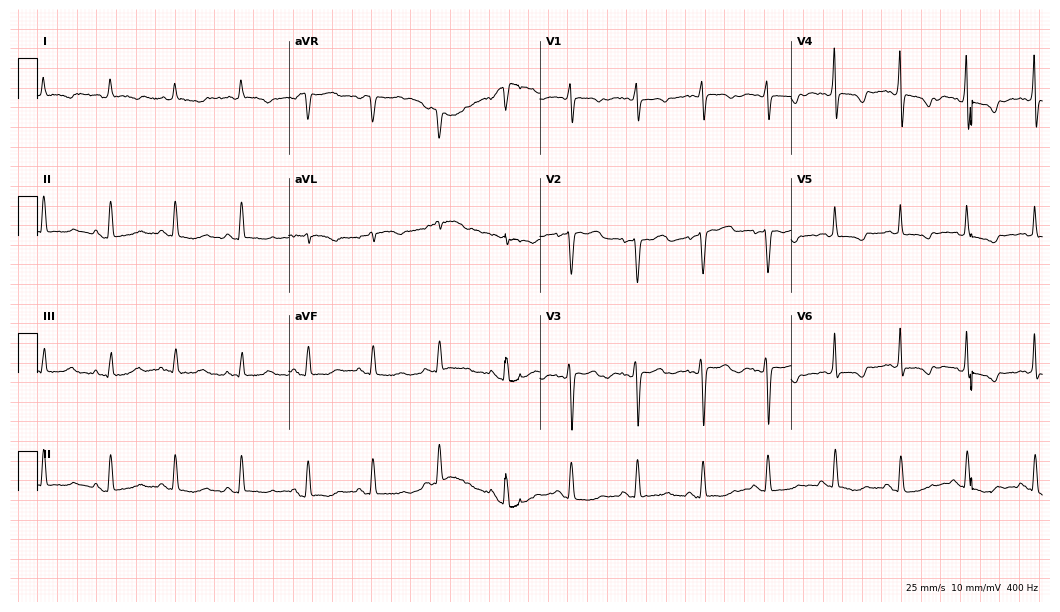
Standard 12-lead ECG recorded from a female patient, 47 years old. None of these six findings is recorded: first-degree AV block, right bundle branch block, left bundle branch block, sinus bradycardia, atrial fibrillation, sinus tachycardia. Other findings, if any, are not listed.